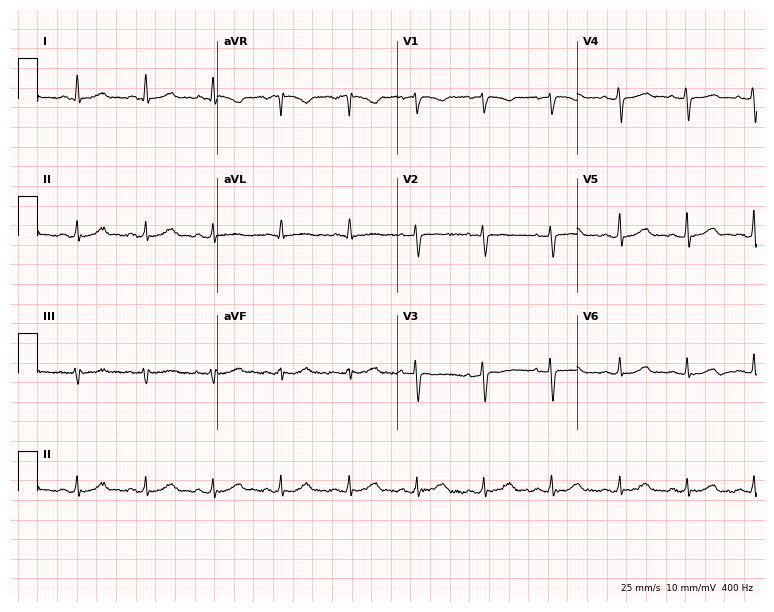
Resting 12-lead electrocardiogram. Patient: a 65-year-old female. Read as a normal ECG.